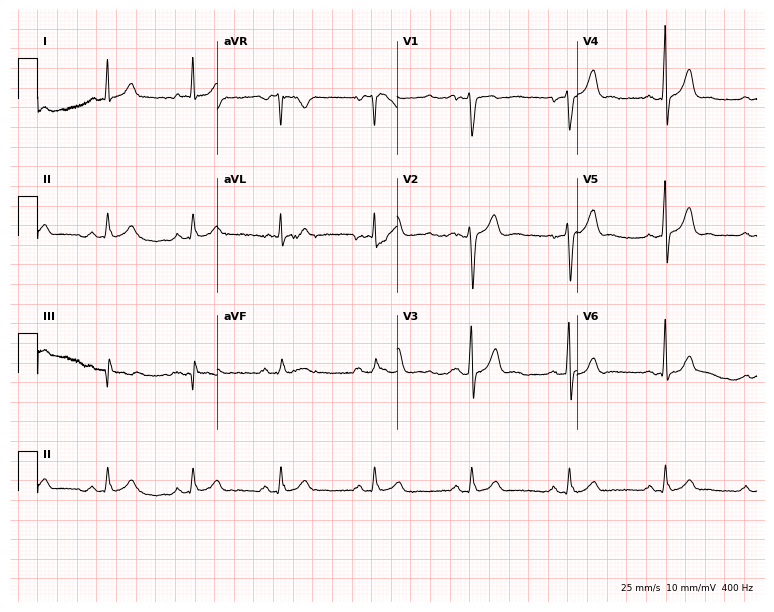
12-lead ECG from a male, 53 years old (7.3-second recording at 400 Hz). No first-degree AV block, right bundle branch block, left bundle branch block, sinus bradycardia, atrial fibrillation or sinus tachycardia recorded for this tracing. Findings outside these six are not listed.